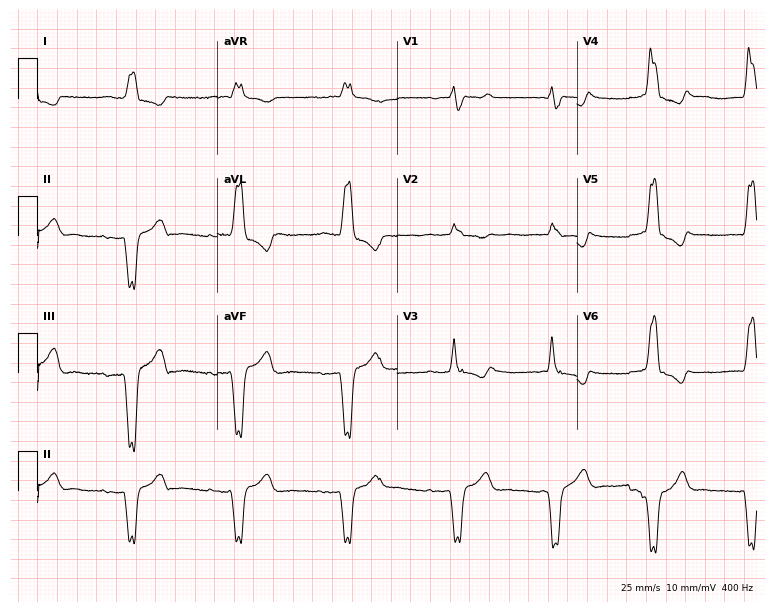
ECG — a 69-year-old male patient. Findings include first-degree AV block, left bundle branch block (LBBB).